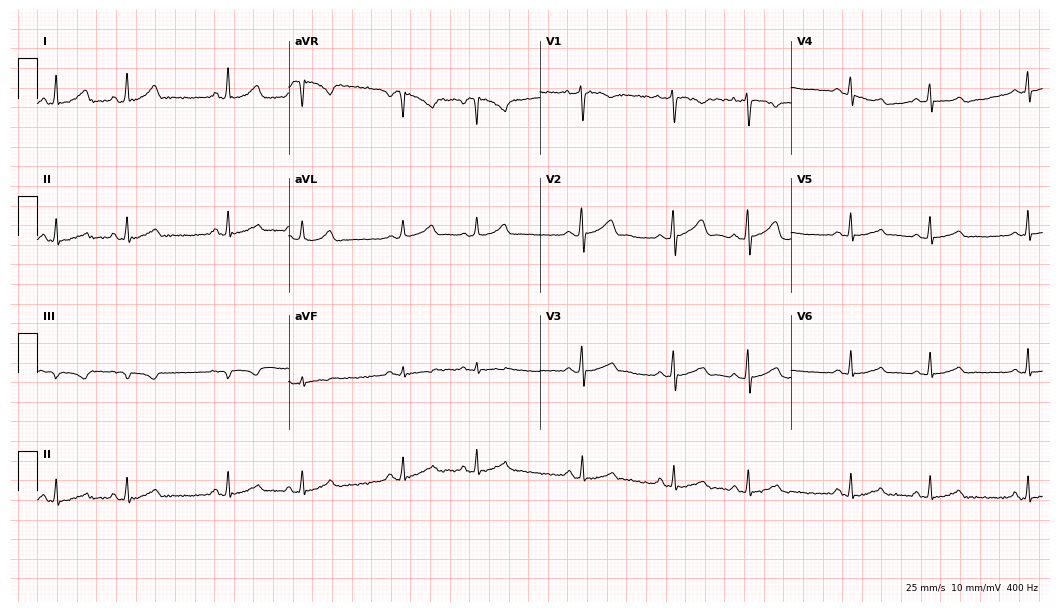
12-lead ECG (10.2-second recording at 400 Hz) from a female patient, 30 years old. Labelled as a normal ECG.